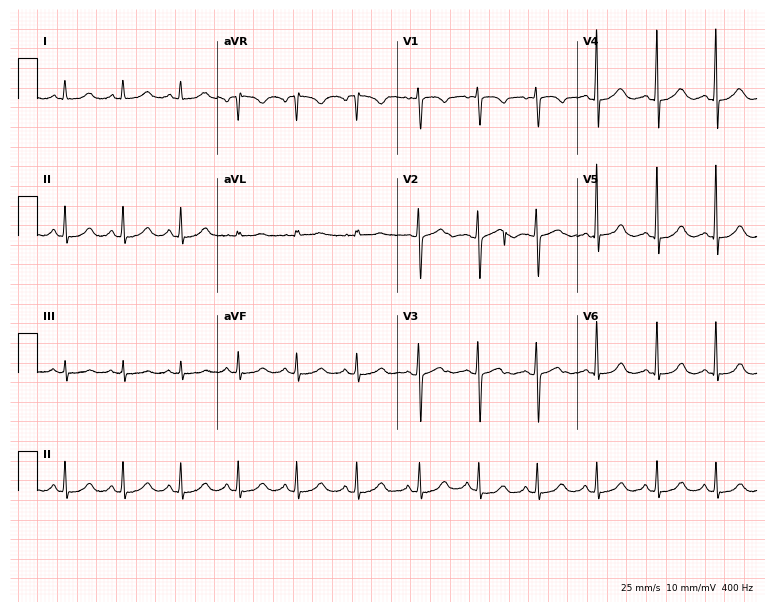
Resting 12-lead electrocardiogram. Patient: a female, 31 years old. Read as a normal ECG.